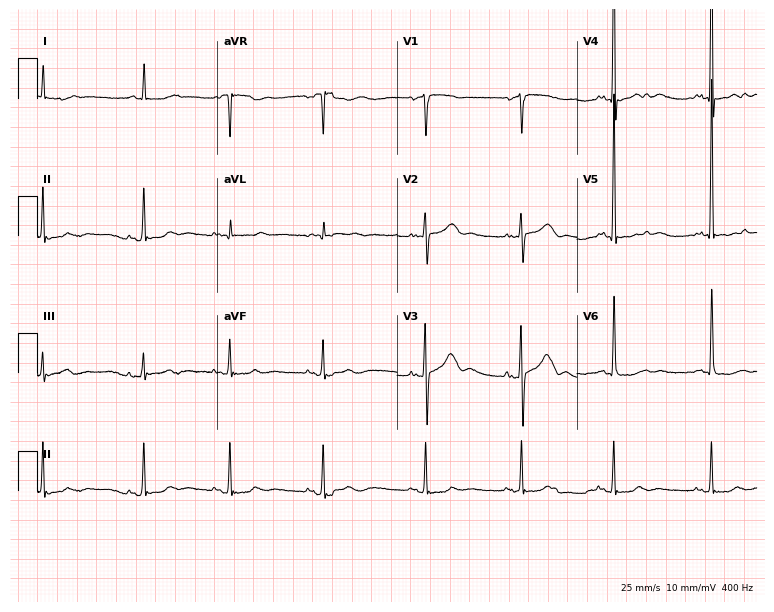
12-lead ECG from a 78-year-old male. No first-degree AV block, right bundle branch block (RBBB), left bundle branch block (LBBB), sinus bradycardia, atrial fibrillation (AF) or sinus tachycardia recorded for this tracing.